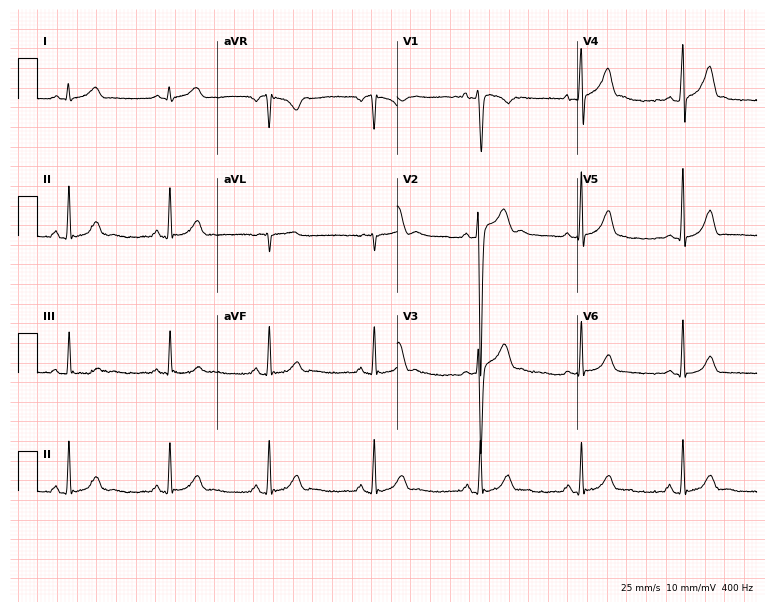
12-lead ECG from a man, 23 years old. Screened for six findings — first-degree AV block, right bundle branch block, left bundle branch block, sinus bradycardia, atrial fibrillation, sinus tachycardia — none is recorded.